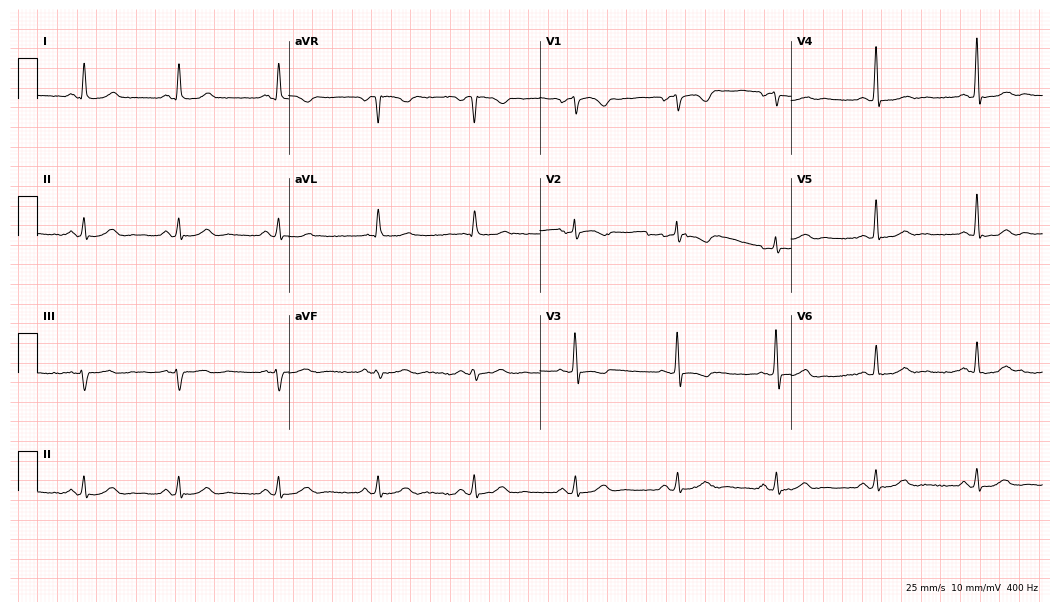
Resting 12-lead electrocardiogram (10.2-second recording at 400 Hz). Patient: a 59-year-old female. Read as a normal ECG.